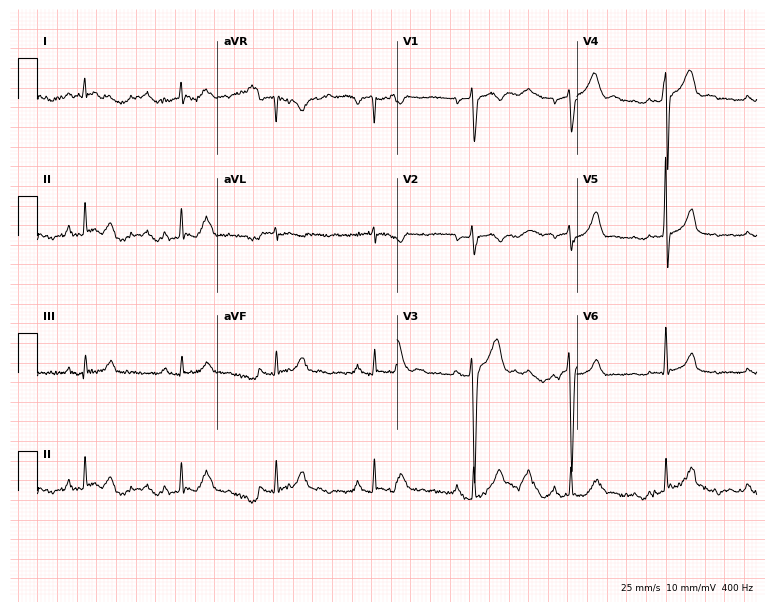
ECG — a 32-year-old male patient. Screened for six findings — first-degree AV block, right bundle branch block (RBBB), left bundle branch block (LBBB), sinus bradycardia, atrial fibrillation (AF), sinus tachycardia — none is recorded. Findings outside these six are not listed.